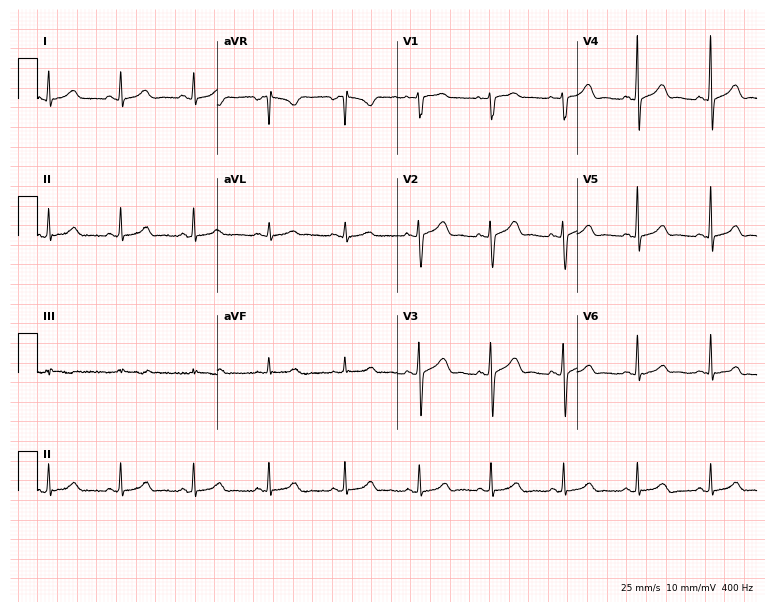
12-lead ECG (7.3-second recording at 400 Hz) from a 37-year-old female patient. Screened for six findings — first-degree AV block, right bundle branch block, left bundle branch block, sinus bradycardia, atrial fibrillation, sinus tachycardia — none is recorded.